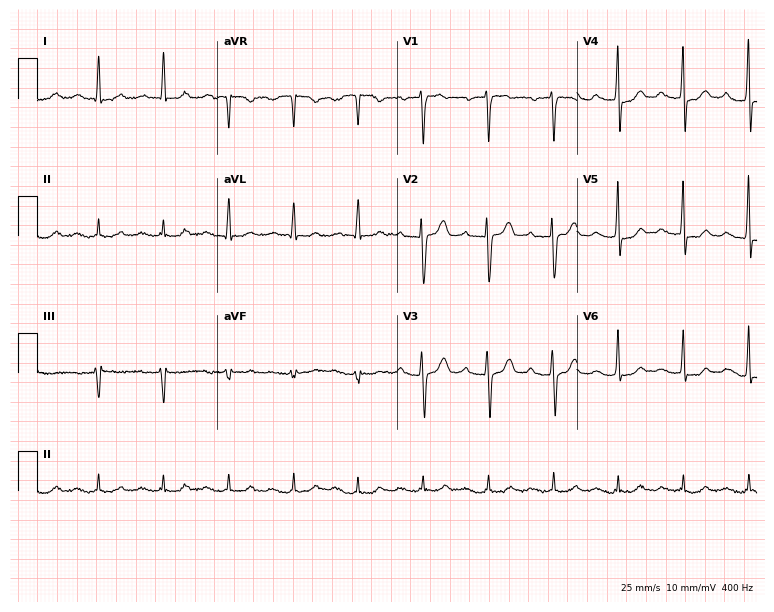
Resting 12-lead electrocardiogram. Patient: a 68-year-old man. The tracing shows first-degree AV block.